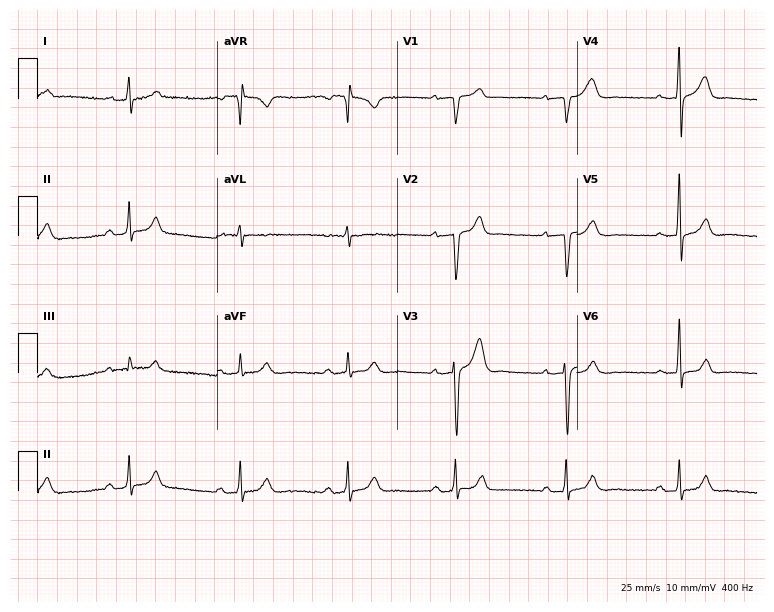
12-lead ECG from a 33-year-old man. No first-degree AV block, right bundle branch block (RBBB), left bundle branch block (LBBB), sinus bradycardia, atrial fibrillation (AF) or sinus tachycardia recorded for this tracing. Other findings, if any, are not listed.